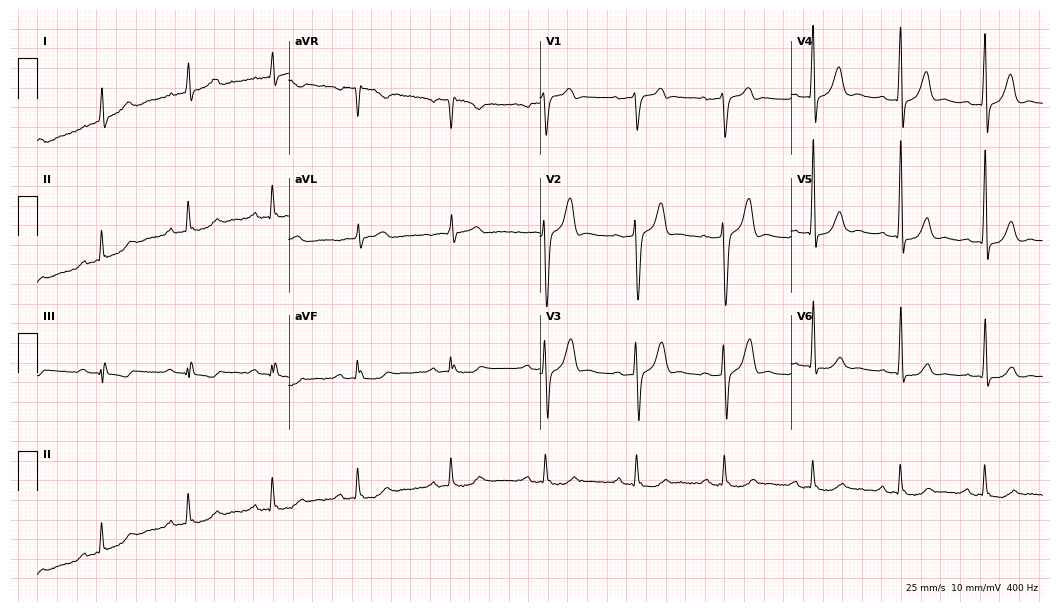
Resting 12-lead electrocardiogram. Patient: a 53-year-old male. Read as a normal ECG.